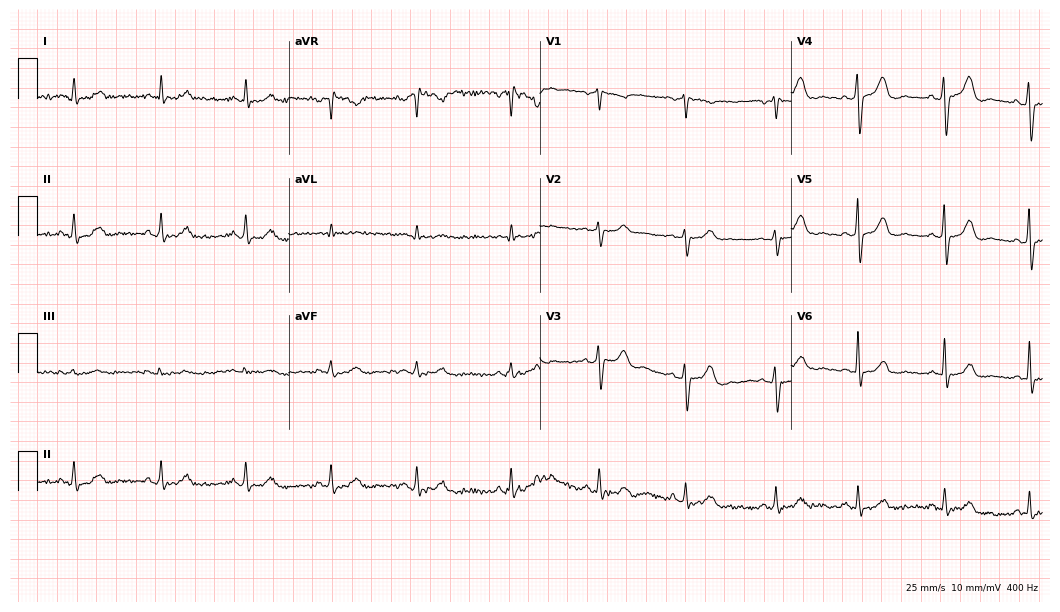
12-lead ECG from a 69-year-old male patient. Recorded interpretation: within normal limits.